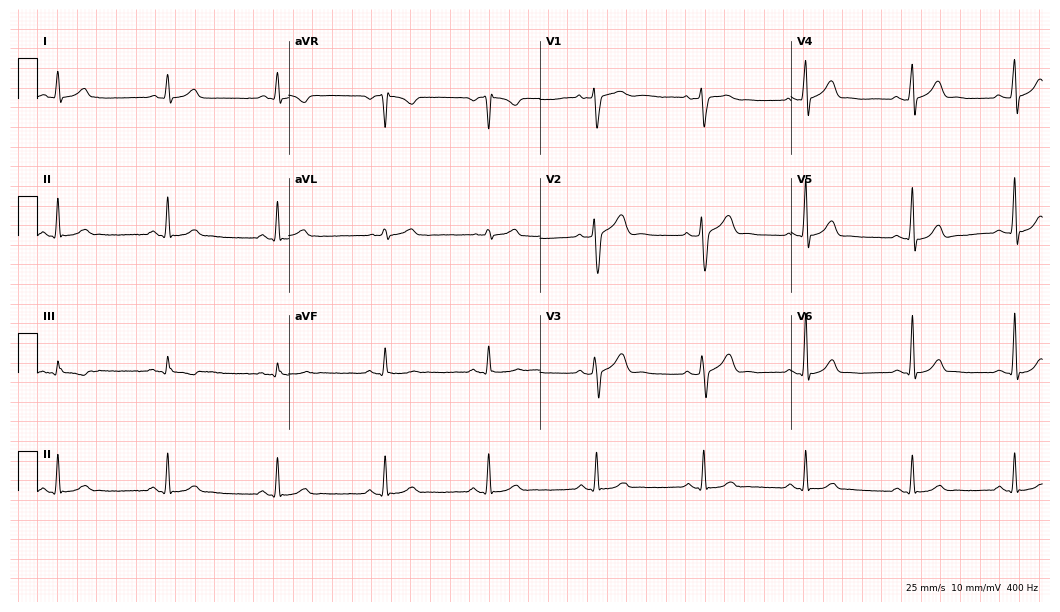
Electrocardiogram (10.2-second recording at 400 Hz), a man, 44 years old. Overall reading on record: normal ECG.